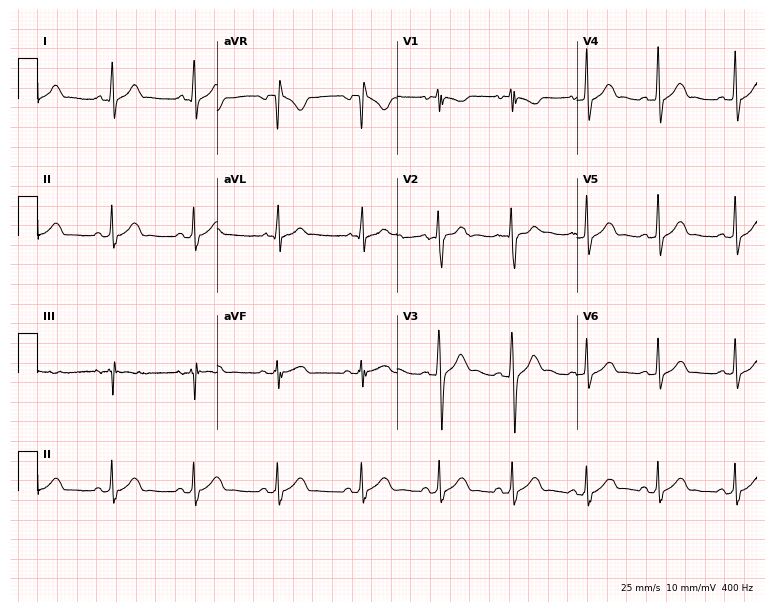
Standard 12-lead ECG recorded from a 17-year-old male patient (7.3-second recording at 400 Hz). Read as a normal ECG.